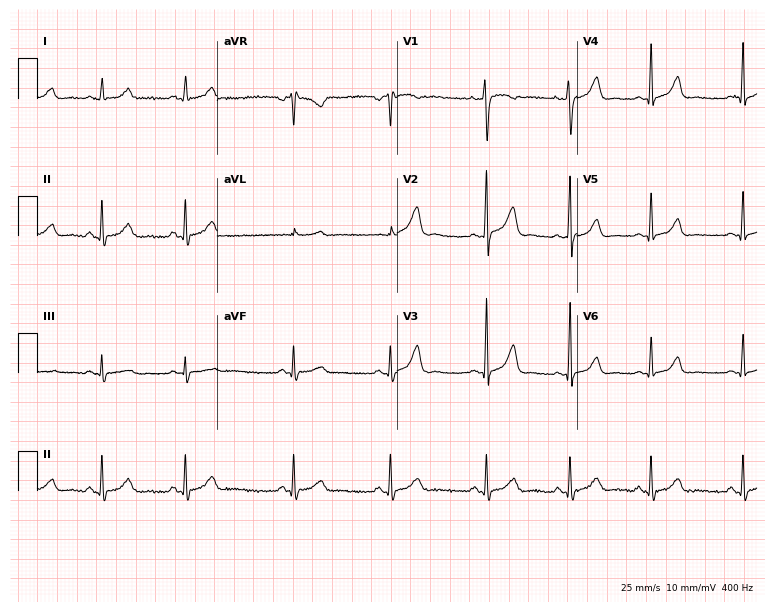
ECG (7.3-second recording at 400 Hz) — a 19-year-old woman. Labelled as a normal ECG.